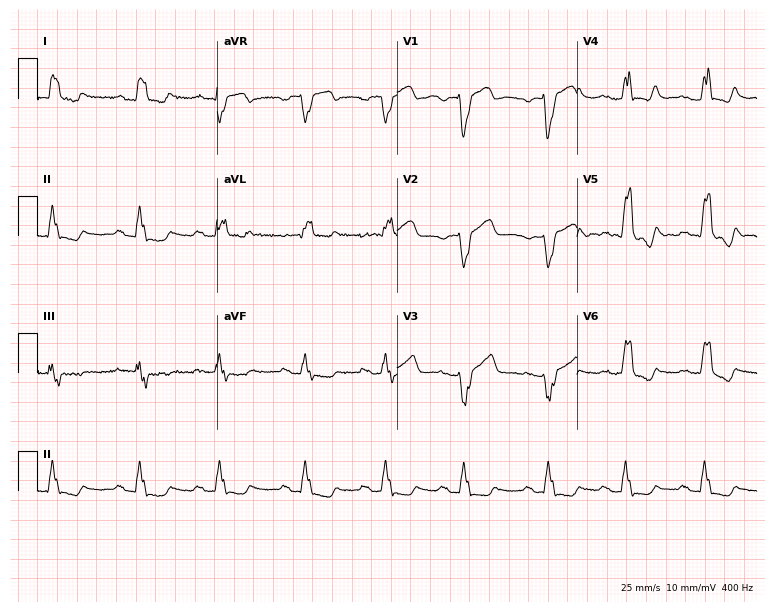
12-lead ECG from a 71-year-old female. Shows left bundle branch block.